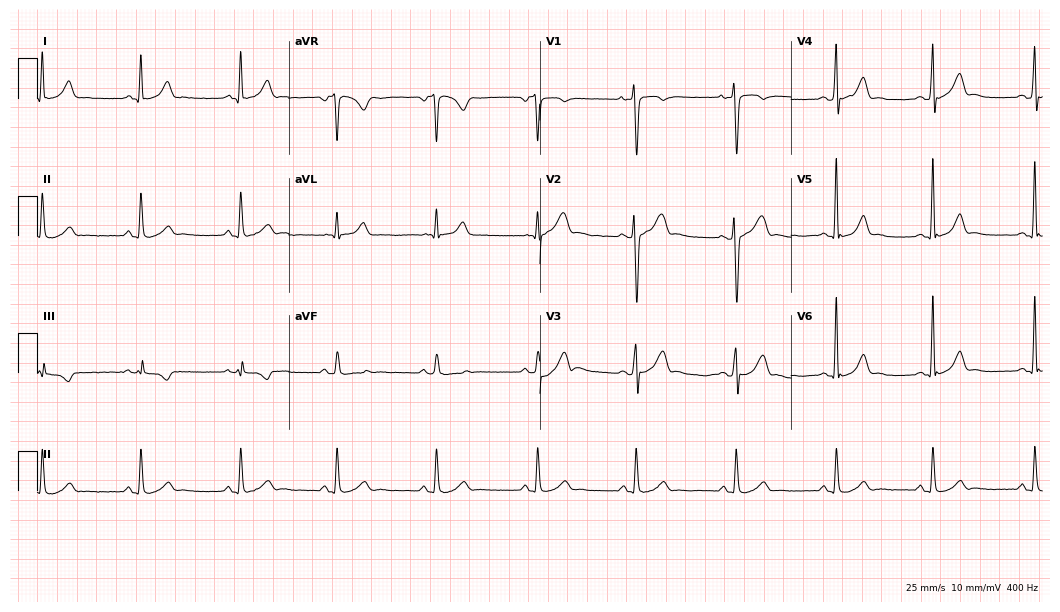
12-lead ECG from a 27-year-old male patient. Screened for six findings — first-degree AV block, right bundle branch block, left bundle branch block, sinus bradycardia, atrial fibrillation, sinus tachycardia — none is recorded. Findings outside these six are not listed.